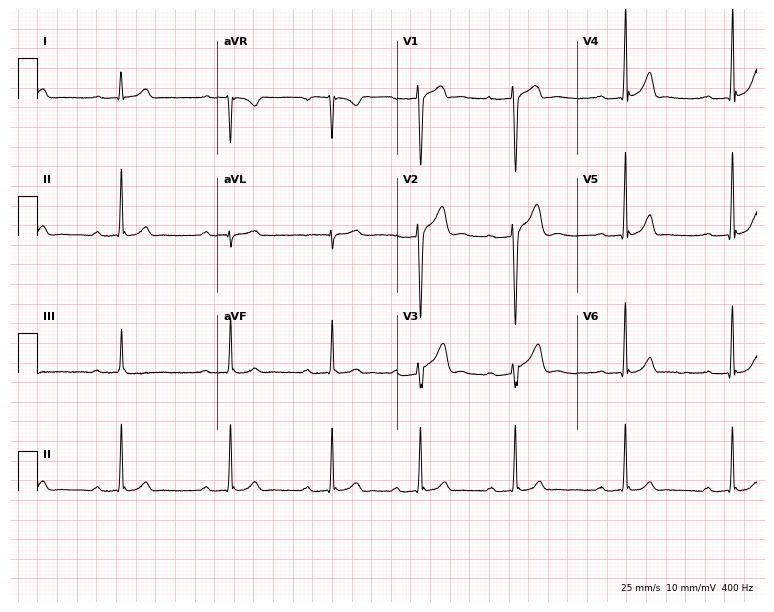
Resting 12-lead electrocardiogram (7.3-second recording at 400 Hz). Patient: a 20-year-old man. None of these six findings is recorded: first-degree AV block, right bundle branch block, left bundle branch block, sinus bradycardia, atrial fibrillation, sinus tachycardia.